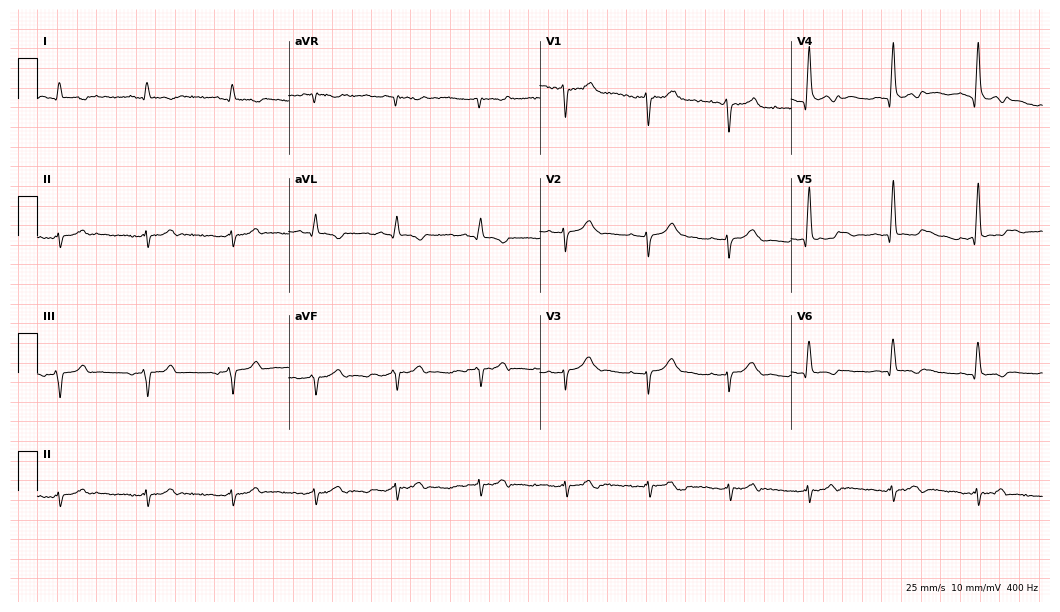
Electrocardiogram (10.2-second recording at 400 Hz), a male patient, 84 years old. Interpretation includes right bundle branch block.